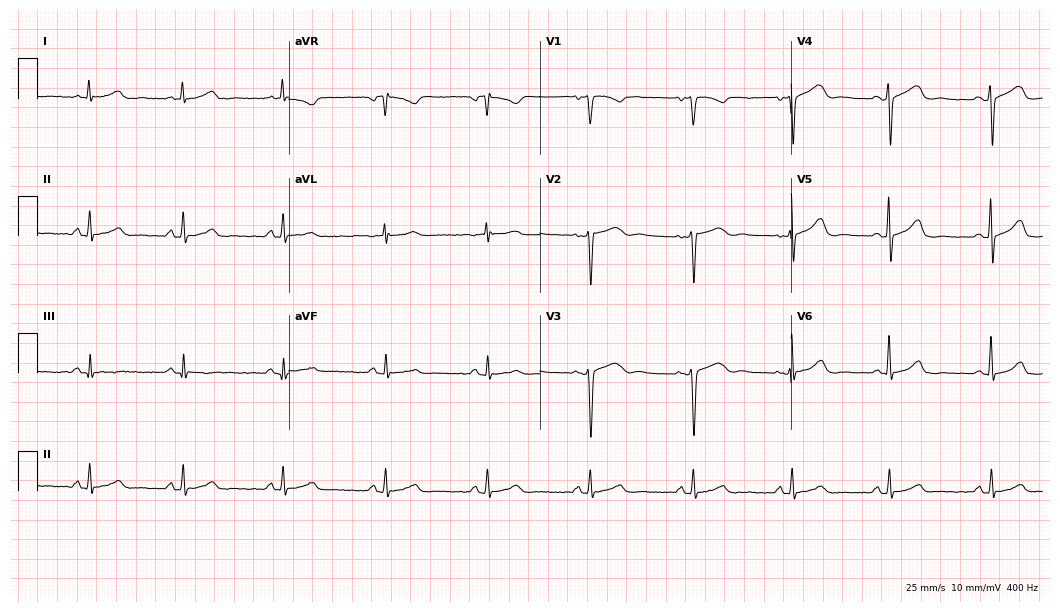
Standard 12-lead ECG recorded from a 39-year-old female. None of these six findings is recorded: first-degree AV block, right bundle branch block, left bundle branch block, sinus bradycardia, atrial fibrillation, sinus tachycardia.